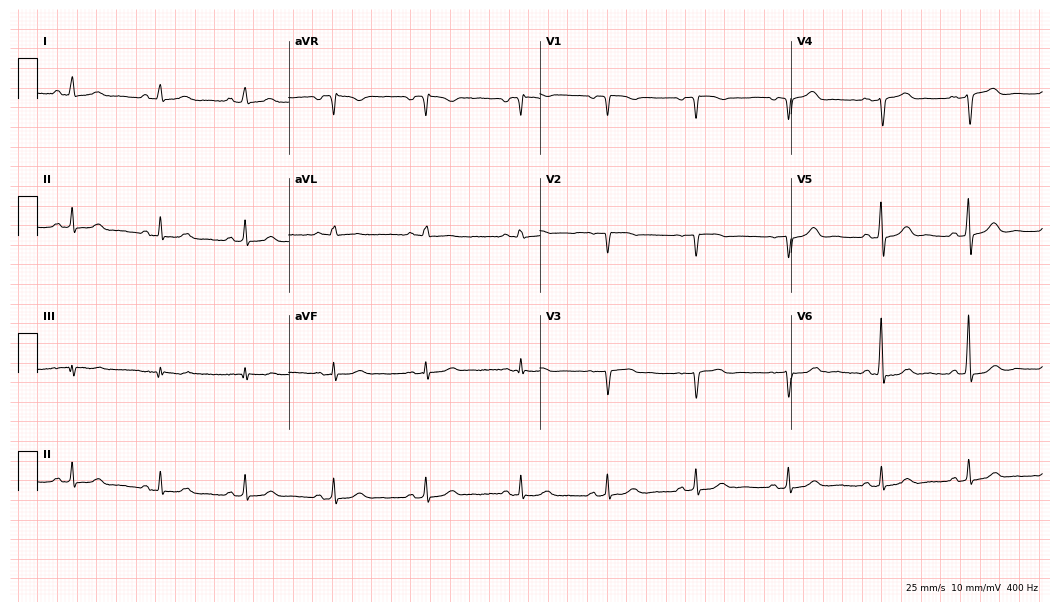
Standard 12-lead ECG recorded from a 58-year-old woman (10.2-second recording at 400 Hz). Read as a normal ECG.